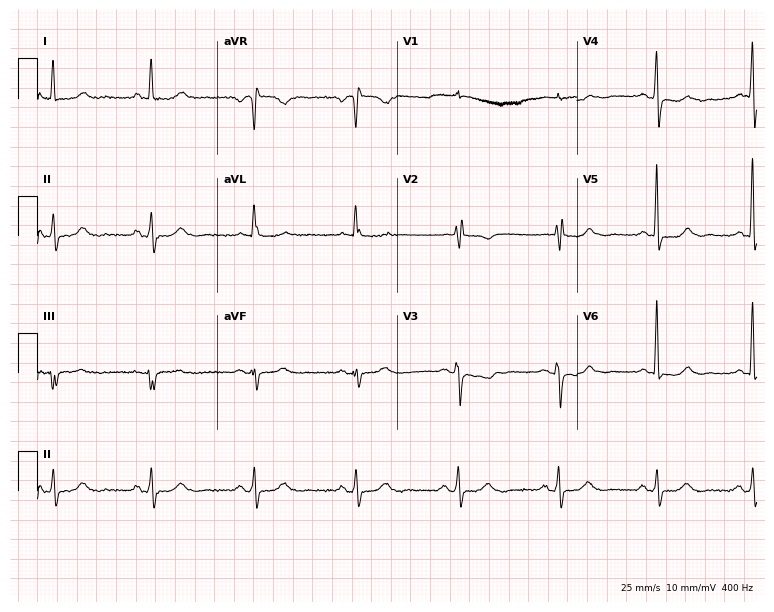
ECG — a female patient, 66 years old. Screened for six findings — first-degree AV block, right bundle branch block (RBBB), left bundle branch block (LBBB), sinus bradycardia, atrial fibrillation (AF), sinus tachycardia — none is recorded. Only these six findings were labelled.